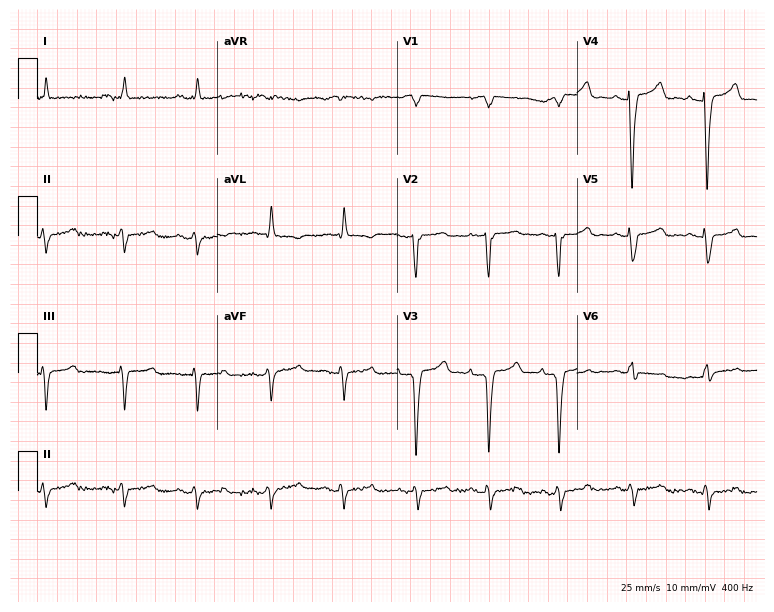
Electrocardiogram, a 55-year-old female. Of the six screened findings (first-degree AV block, right bundle branch block (RBBB), left bundle branch block (LBBB), sinus bradycardia, atrial fibrillation (AF), sinus tachycardia), none is recorded.